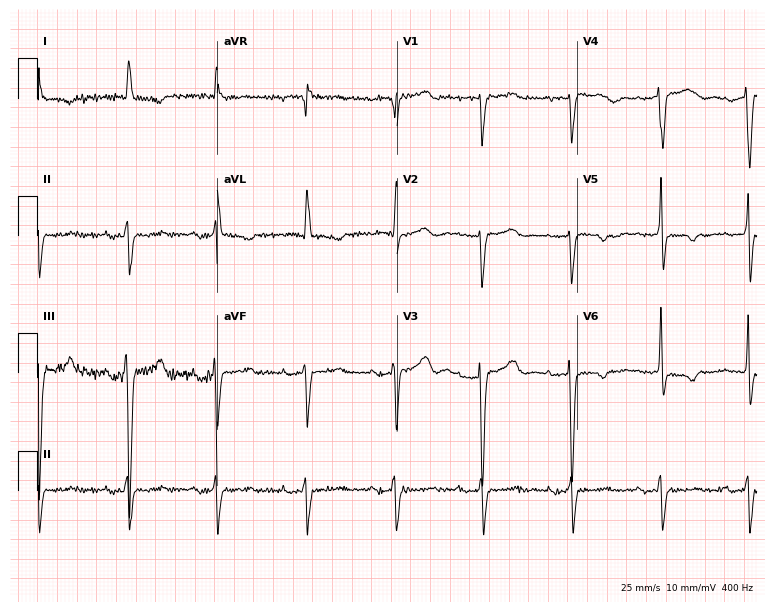
Resting 12-lead electrocardiogram (7.3-second recording at 400 Hz). Patient: a woman, 71 years old. None of these six findings is recorded: first-degree AV block, right bundle branch block, left bundle branch block, sinus bradycardia, atrial fibrillation, sinus tachycardia.